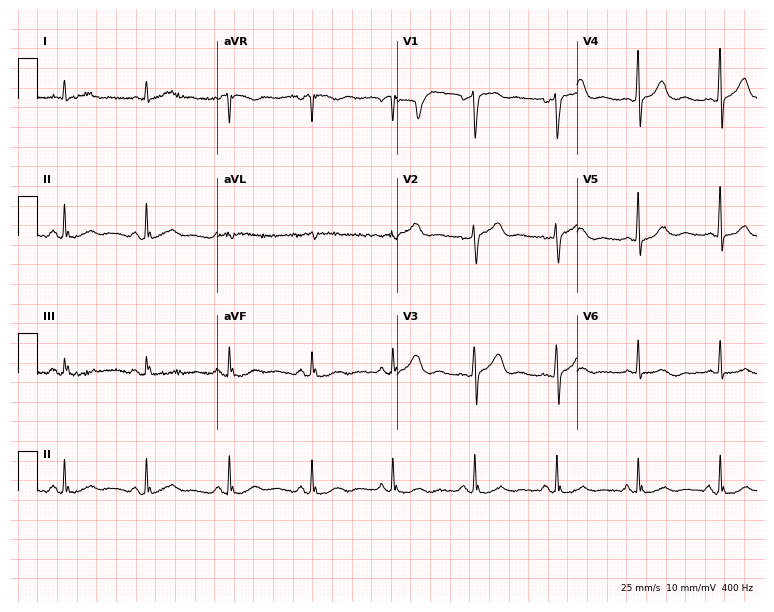
12-lead ECG from an 84-year-old male patient. Recorded interpretation: within normal limits.